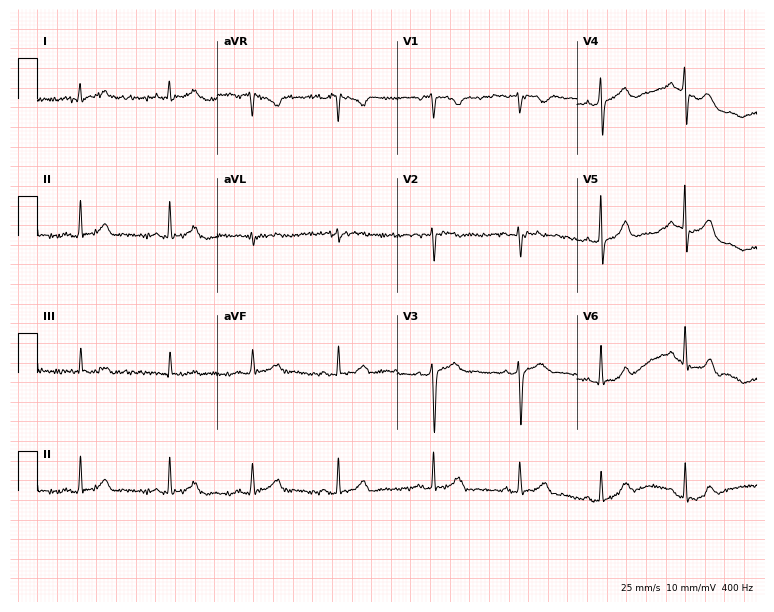
ECG (7.3-second recording at 400 Hz) — a 23-year-old woman. Labelled as a normal ECG.